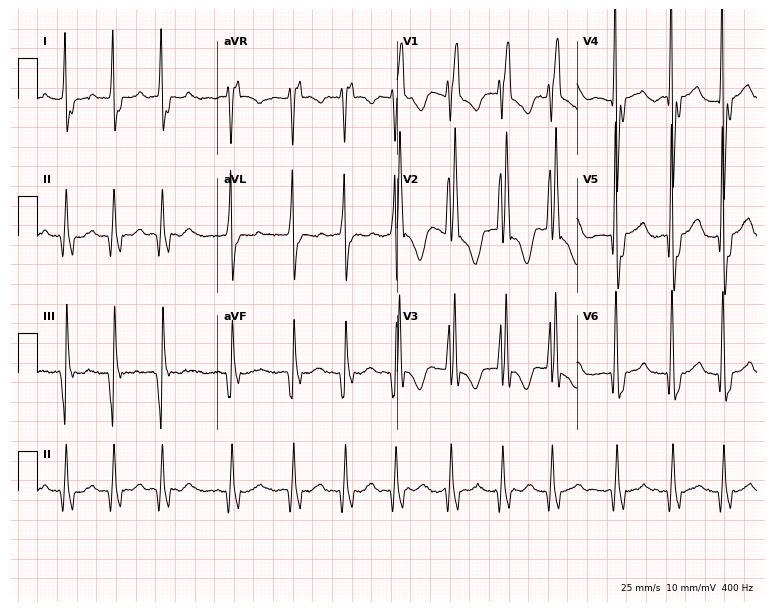
ECG (7.3-second recording at 400 Hz) — a man, 72 years old. Findings include atrial fibrillation, sinus tachycardia (a sinus rate of 100 beats per minute or more).